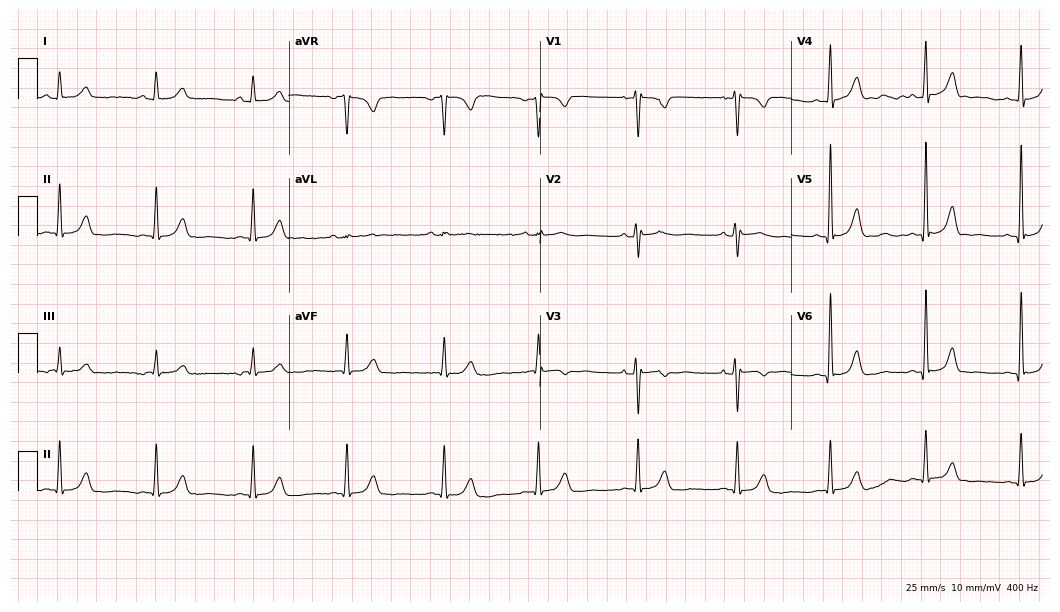
12-lead ECG (10.2-second recording at 400 Hz) from a 40-year-old woman. Labelled as a normal ECG.